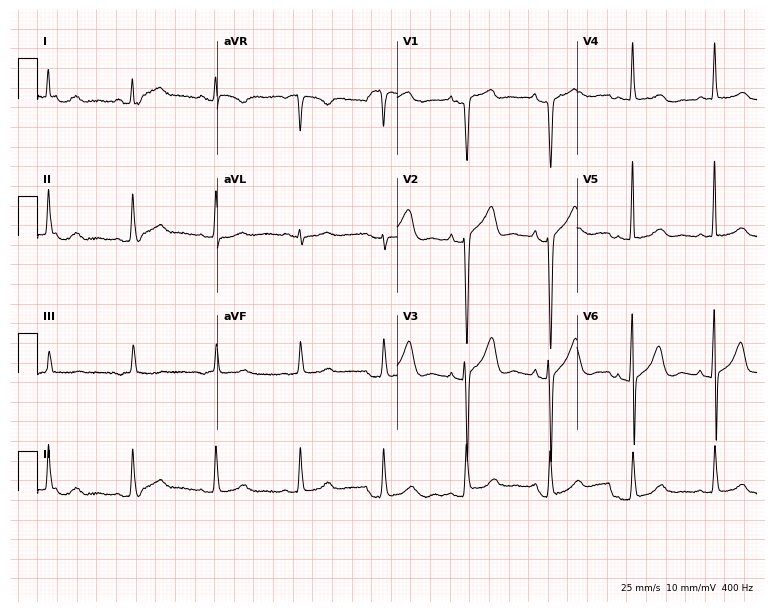
Resting 12-lead electrocardiogram. Patient: a man, 67 years old. None of these six findings is recorded: first-degree AV block, right bundle branch block (RBBB), left bundle branch block (LBBB), sinus bradycardia, atrial fibrillation (AF), sinus tachycardia. Only these six findings were labelled.